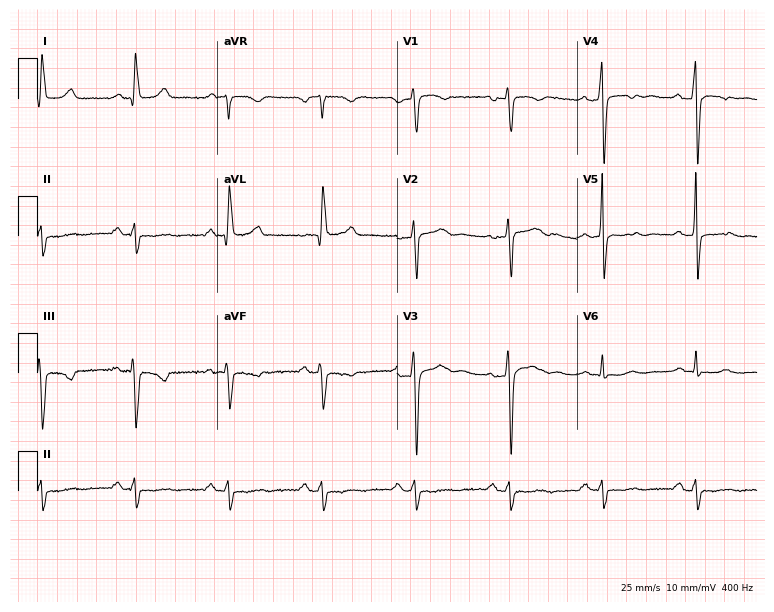
Resting 12-lead electrocardiogram (7.3-second recording at 400 Hz). Patient: a 46-year-old man. None of these six findings is recorded: first-degree AV block, right bundle branch block (RBBB), left bundle branch block (LBBB), sinus bradycardia, atrial fibrillation (AF), sinus tachycardia.